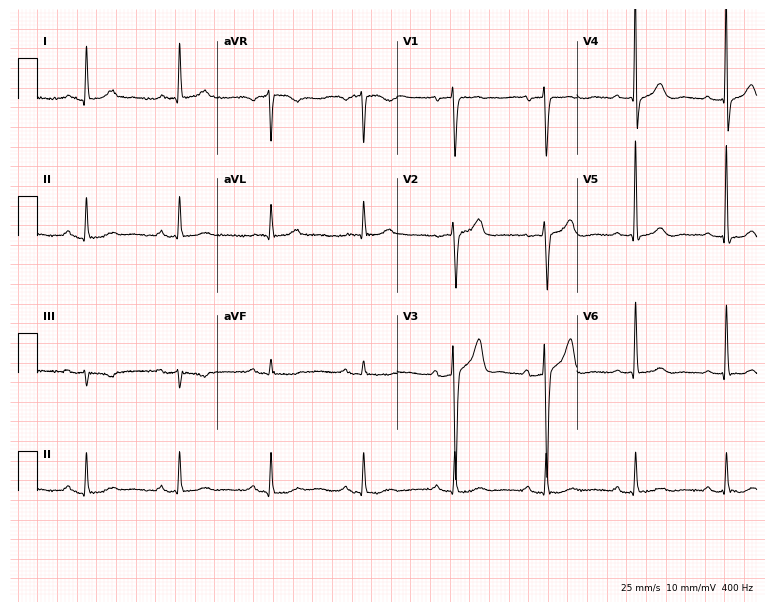
ECG — a male, 77 years old. Screened for six findings — first-degree AV block, right bundle branch block, left bundle branch block, sinus bradycardia, atrial fibrillation, sinus tachycardia — none is recorded.